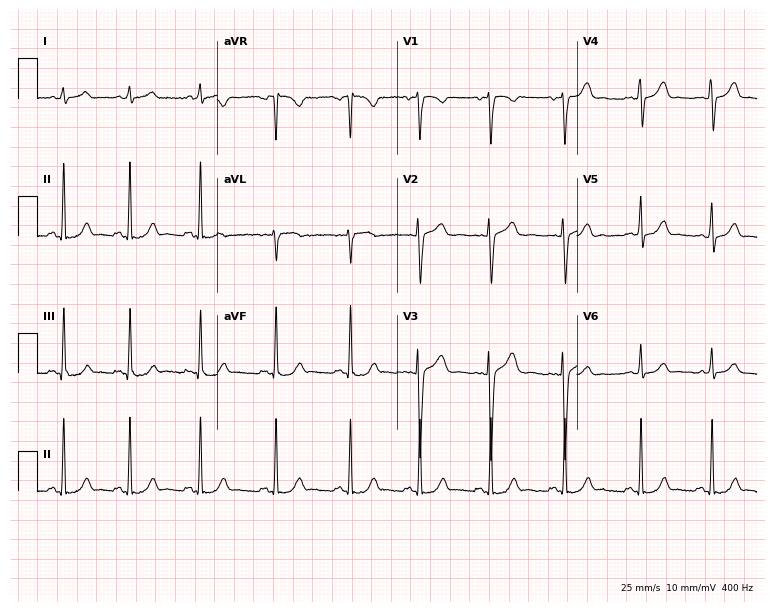
ECG — a 29-year-old woman. Labelled as a normal ECG.